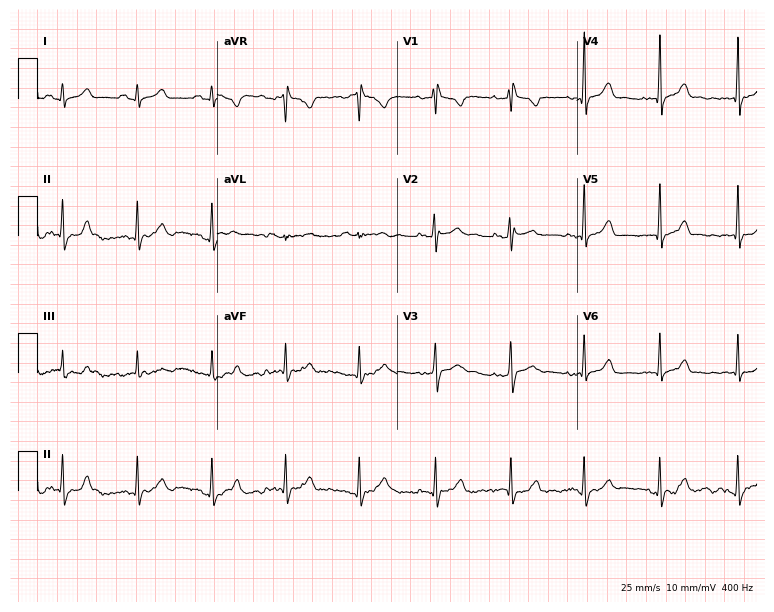
Standard 12-lead ECG recorded from a 42-year-old woman. None of these six findings is recorded: first-degree AV block, right bundle branch block, left bundle branch block, sinus bradycardia, atrial fibrillation, sinus tachycardia.